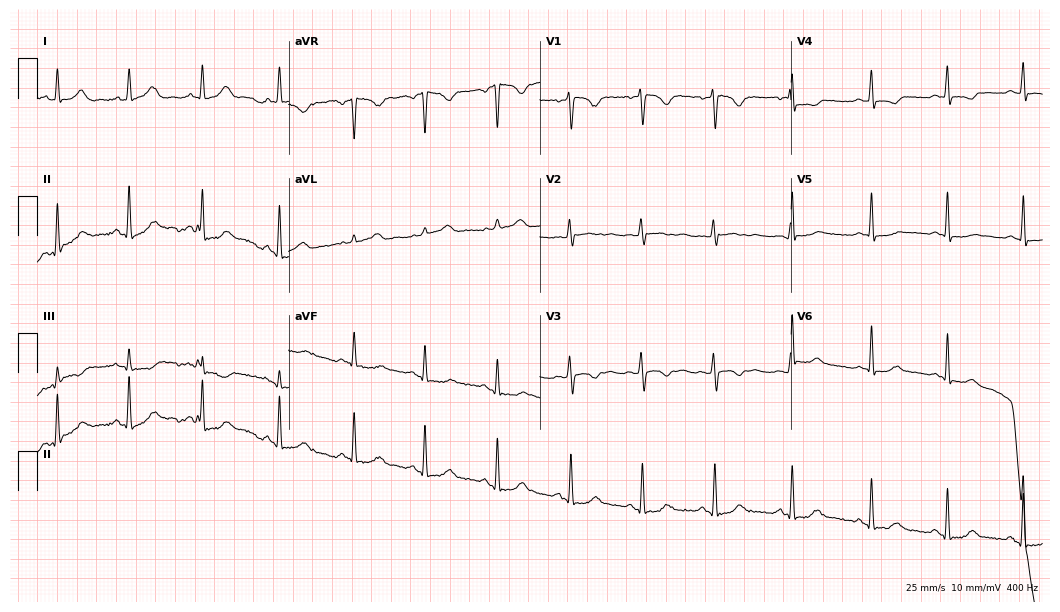
Standard 12-lead ECG recorded from a 29-year-old woman. None of these six findings is recorded: first-degree AV block, right bundle branch block (RBBB), left bundle branch block (LBBB), sinus bradycardia, atrial fibrillation (AF), sinus tachycardia.